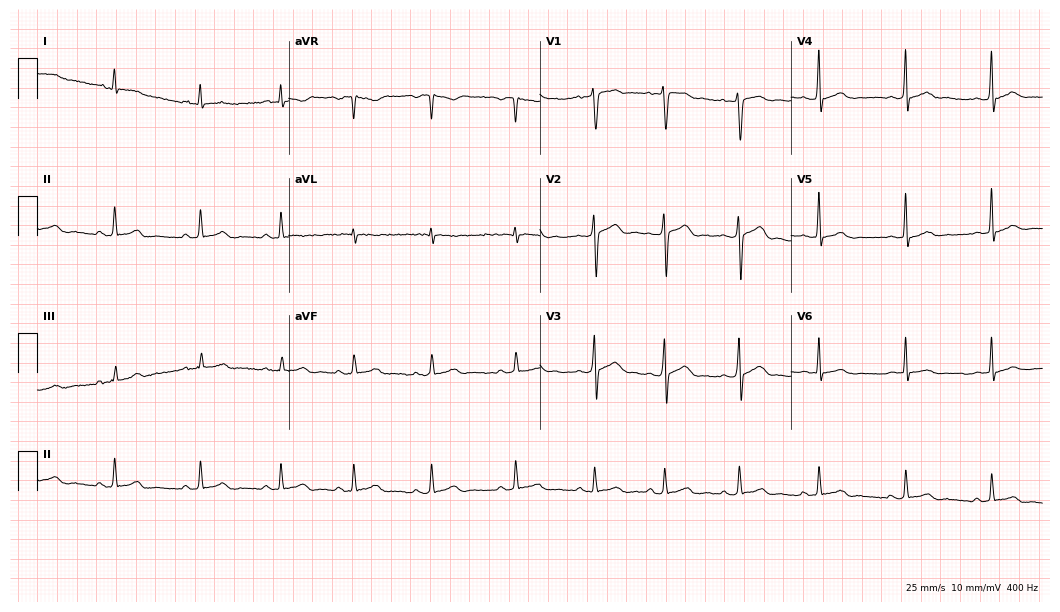
ECG — a male patient, 21 years old. Screened for six findings — first-degree AV block, right bundle branch block, left bundle branch block, sinus bradycardia, atrial fibrillation, sinus tachycardia — none is recorded. Findings outside these six are not listed.